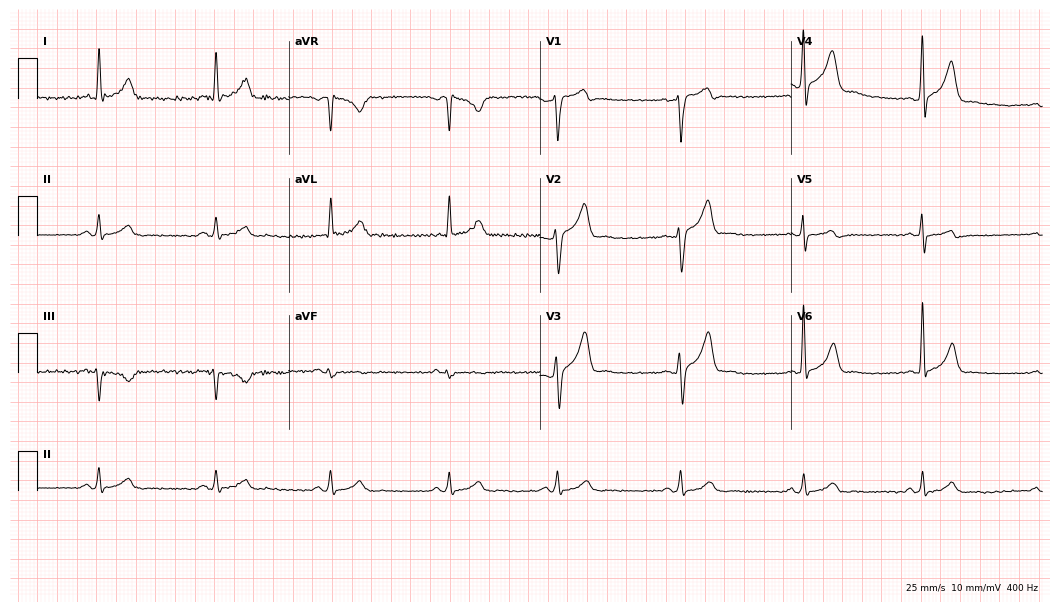
12-lead ECG from a man, 48 years old. Labelled as a normal ECG.